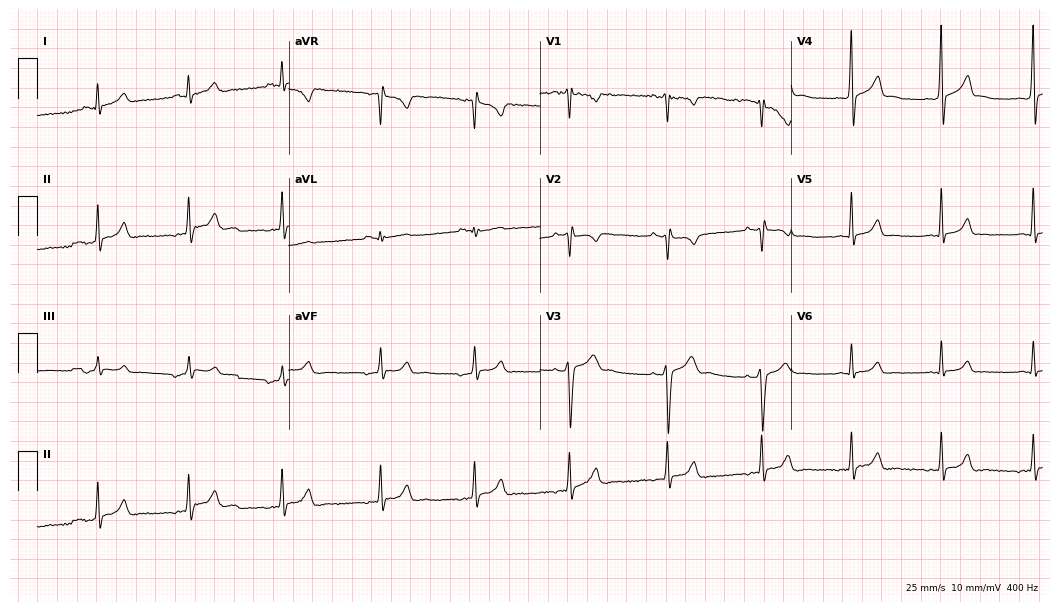
Standard 12-lead ECG recorded from a 20-year-old man. None of these six findings is recorded: first-degree AV block, right bundle branch block, left bundle branch block, sinus bradycardia, atrial fibrillation, sinus tachycardia.